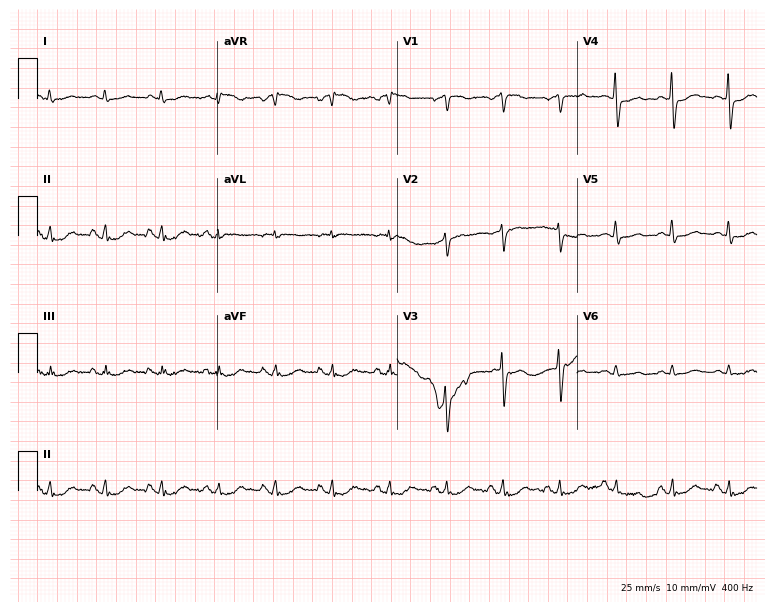
12-lead ECG from a man, 76 years old. Shows sinus tachycardia (a sinus rate of 100 beats per minute or more).